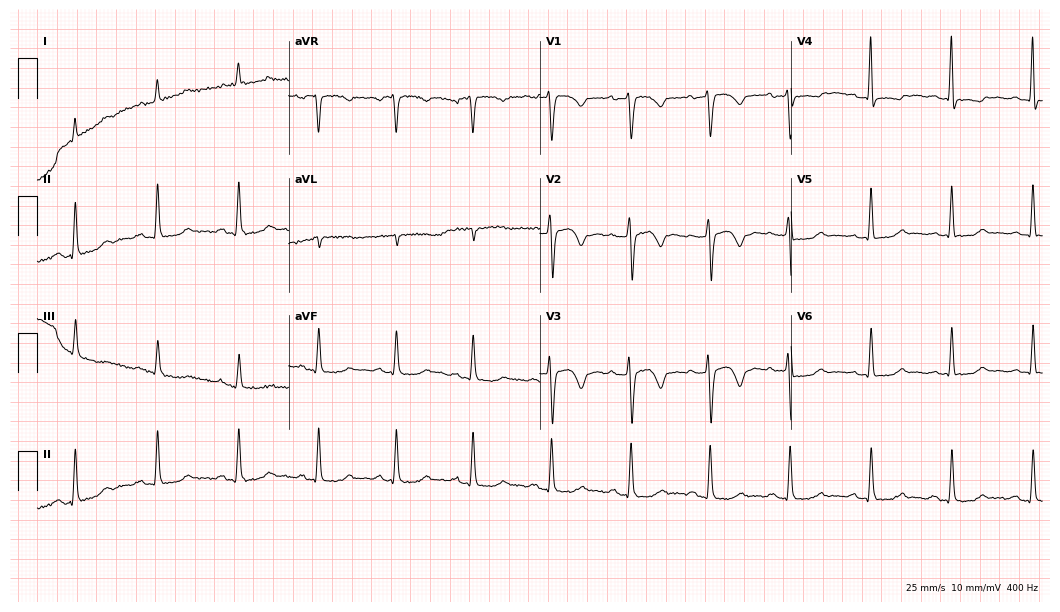
12-lead ECG (10.2-second recording at 400 Hz) from a 53-year-old man. Screened for six findings — first-degree AV block, right bundle branch block (RBBB), left bundle branch block (LBBB), sinus bradycardia, atrial fibrillation (AF), sinus tachycardia — none is recorded.